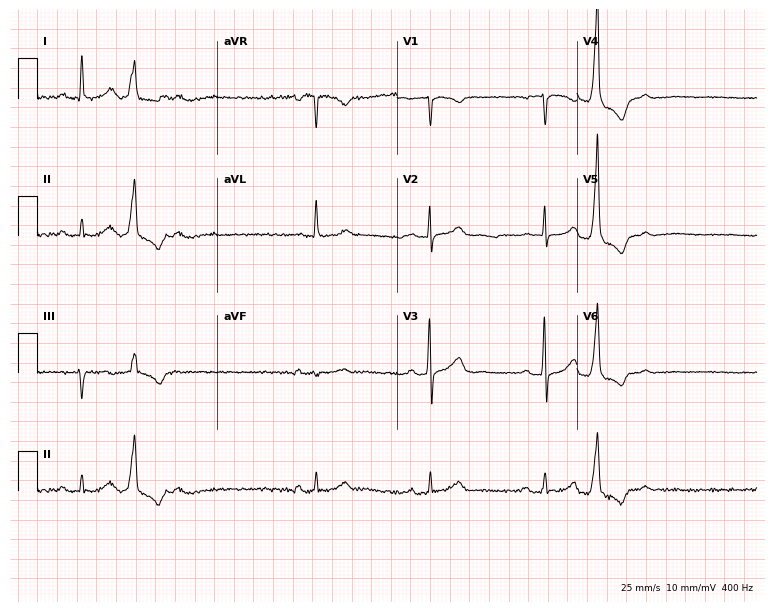
12-lead ECG from a man, 68 years old. No first-degree AV block, right bundle branch block (RBBB), left bundle branch block (LBBB), sinus bradycardia, atrial fibrillation (AF) or sinus tachycardia recorded for this tracing. Other findings, if any, are not listed.